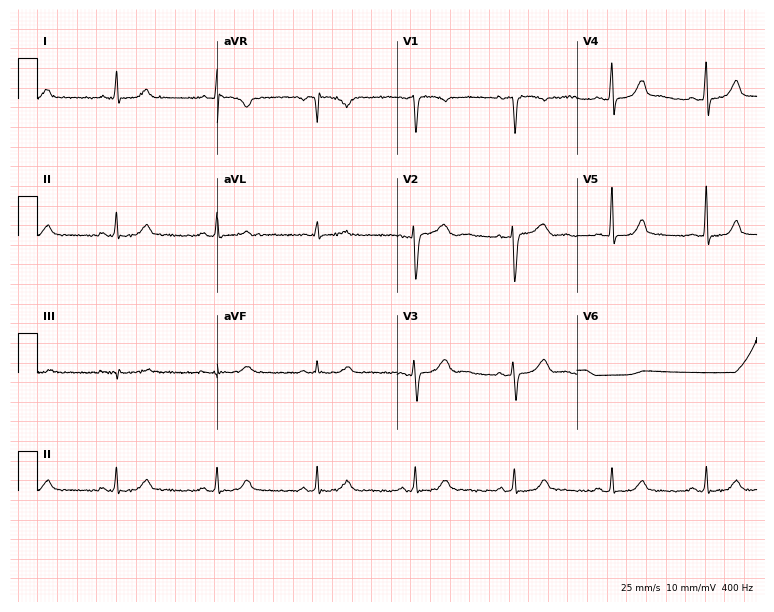
Standard 12-lead ECG recorded from a 44-year-old woman (7.3-second recording at 400 Hz). Read as a normal ECG.